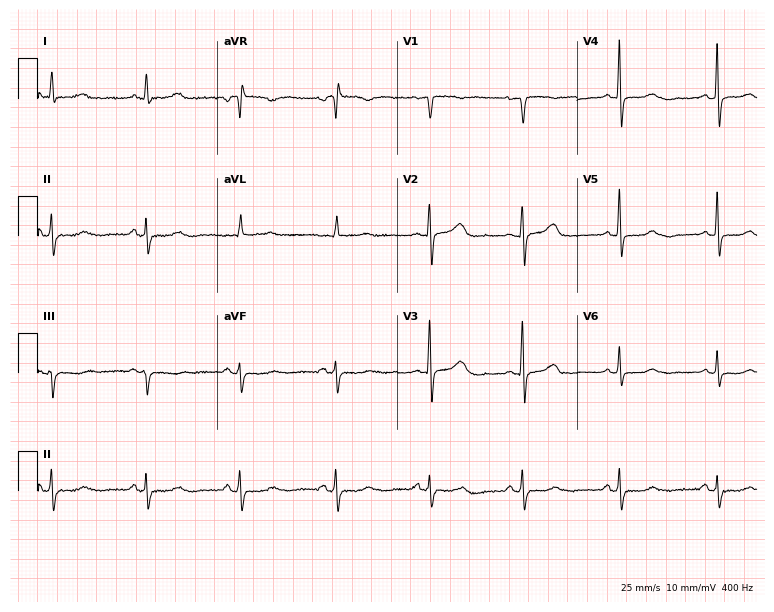
Resting 12-lead electrocardiogram. Patient: a 77-year-old female. None of these six findings is recorded: first-degree AV block, right bundle branch block, left bundle branch block, sinus bradycardia, atrial fibrillation, sinus tachycardia. Only these six findings were labelled.